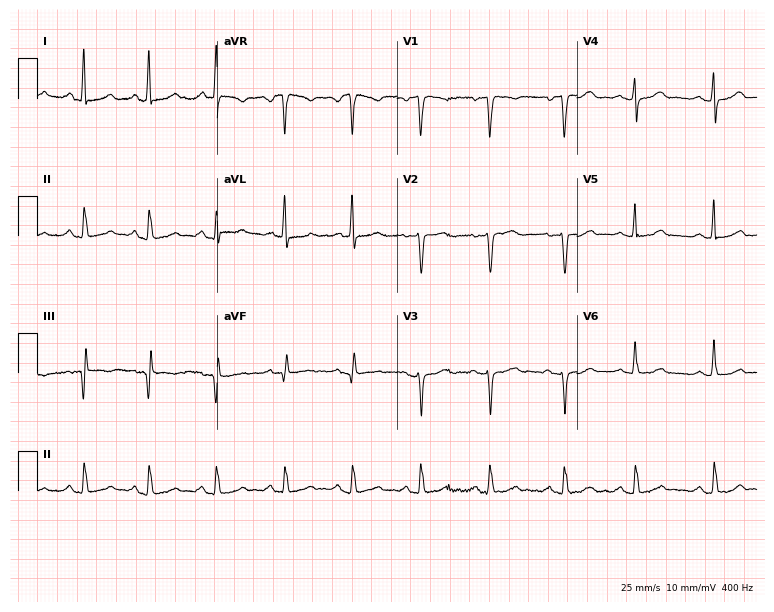
Standard 12-lead ECG recorded from a 59-year-old woman. None of these six findings is recorded: first-degree AV block, right bundle branch block, left bundle branch block, sinus bradycardia, atrial fibrillation, sinus tachycardia.